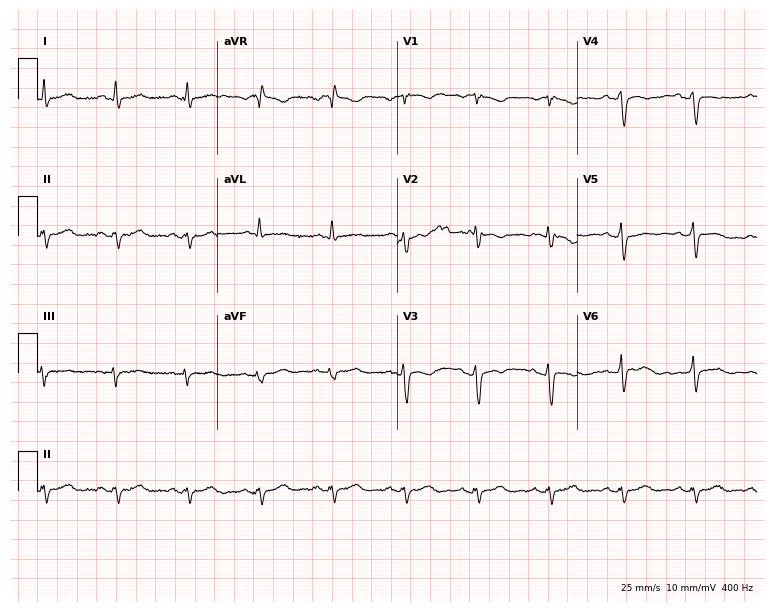
Resting 12-lead electrocardiogram (7.3-second recording at 400 Hz). Patient: a woman, 47 years old. None of these six findings is recorded: first-degree AV block, right bundle branch block, left bundle branch block, sinus bradycardia, atrial fibrillation, sinus tachycardia. Other findings, if any, are not listed.